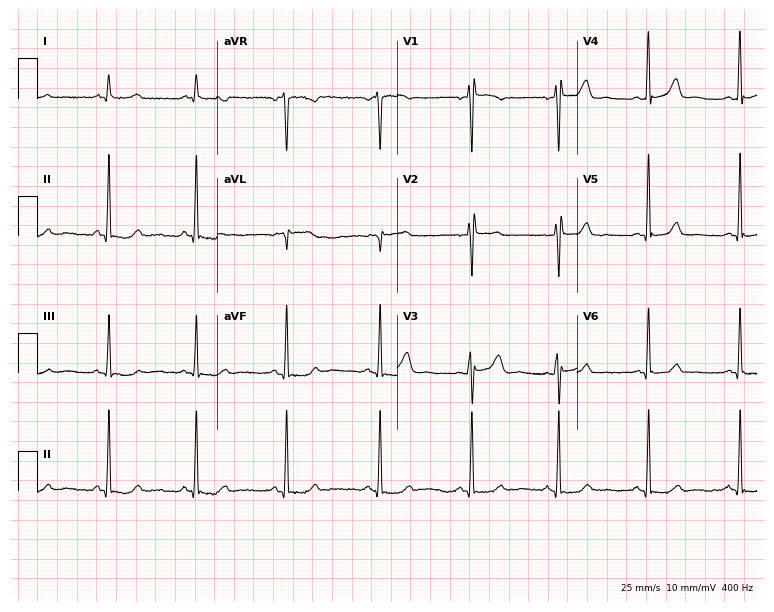
ECG — a 45-year-old woman. Labelled as a normal ECG.